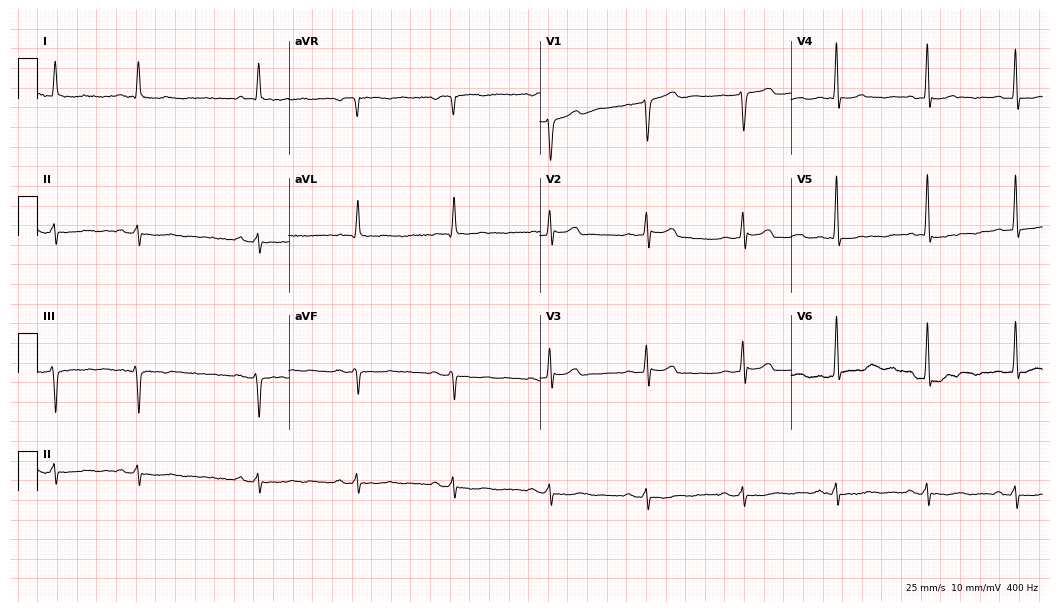
Standard 12-lead ECG recorded from a 71-year-old male patient (10.2-second recording at 400 Hz). None of these six findings is recorded: first-degree AV block, right bundle branch block (RBBB), left bundle branch block (LBBB), sinus bradycardia, atrial fibrillation (AF), sinus tachycardia. Other findings, if any, are not listed.